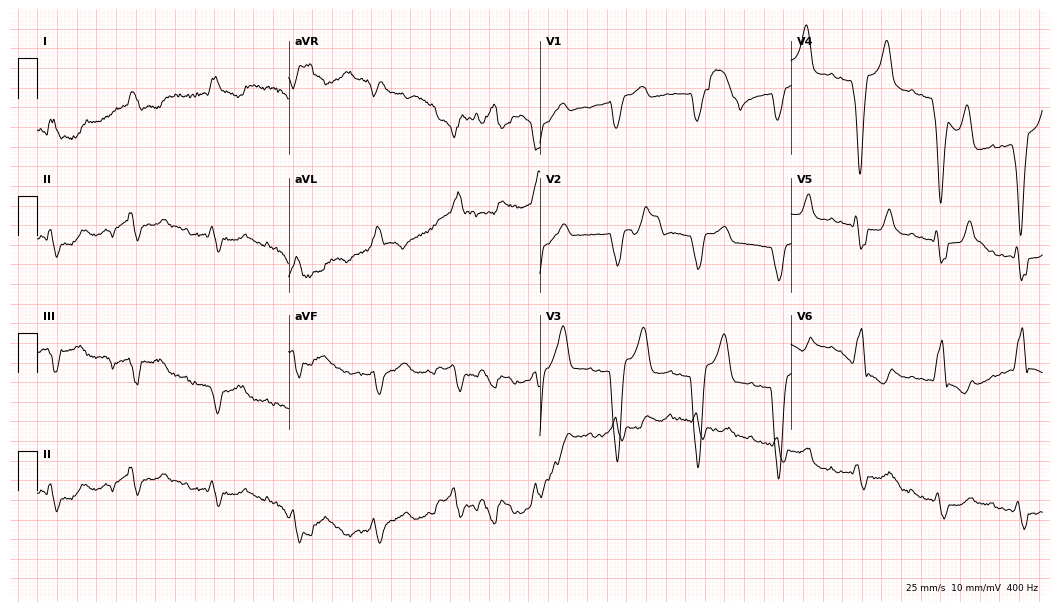
Standard 12-lead ECG recorded from a man, 75 years old. The tracing shows atrial fibrillation.